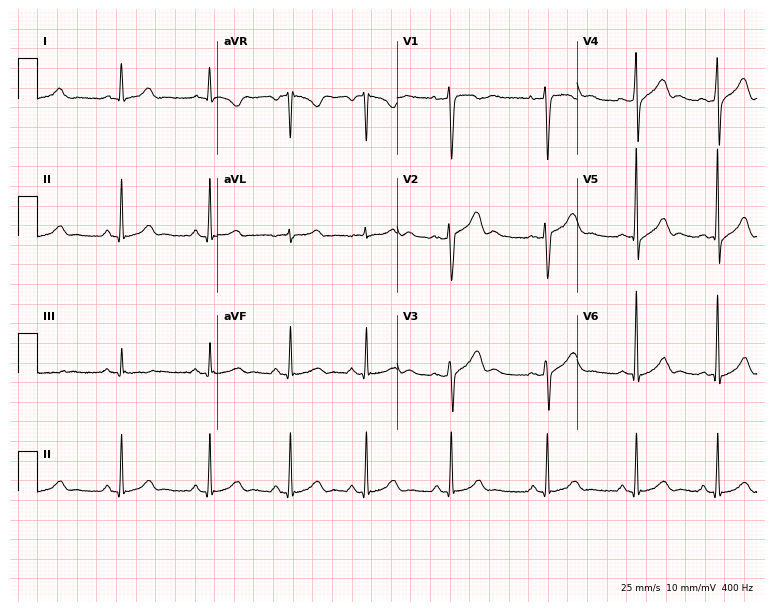
Electrocardiogram (7.3-second recording at 400 Hz), a 27-year-old male patient. Of the six screened findings (first-degree AV block, right bundle branch block (RBBB), left bundle branch block (LBBB), sinus bradycardia, atrial fibrillation (AF), sinus tachycardia), none is recorded.